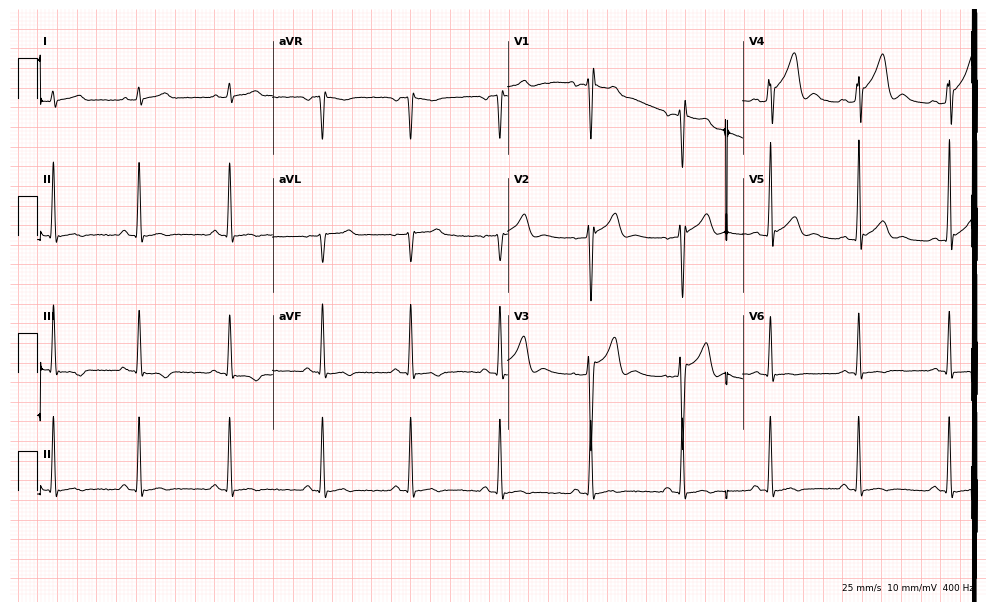
Electrocardiogram, a 24-year-old male patient. Of the six screened findings (first-degree AV block, right bundle branch block, left bundle branch block, sinus bradycardia, atrial fibrillation, sinus tachycardia), none is recorded. Only these six findings were labelled.